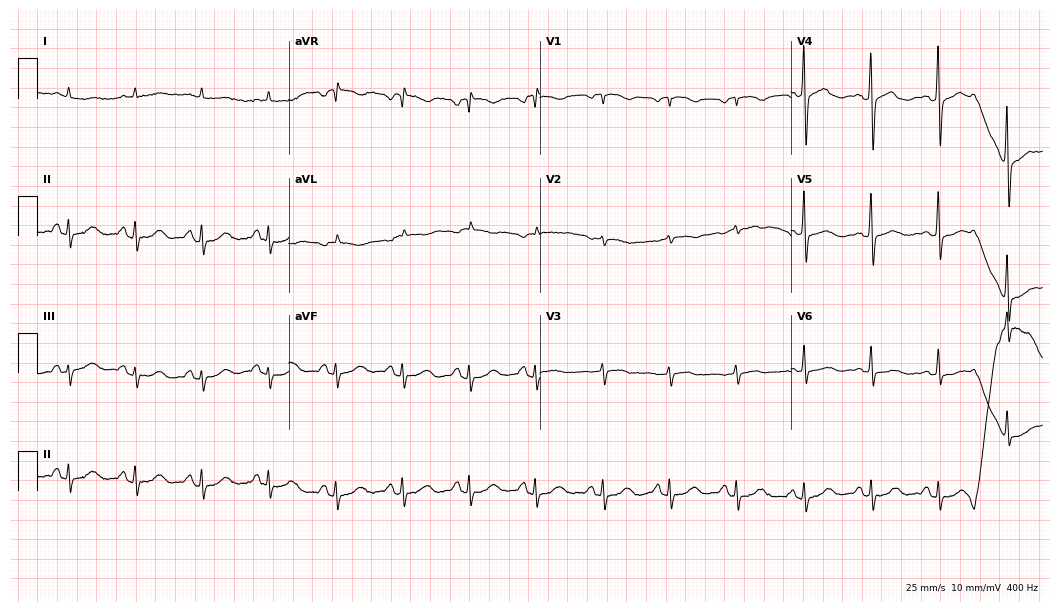
ECG — an 80-year-old female. Screened for six findings — first-degree AV block, right bundle branch block (RBBB), left bundle branch block (LBBB), sinus bradycardia, atrial fibrillation (AF), sinus tachycardia — none is recorded. Findings outside these six are not listed.